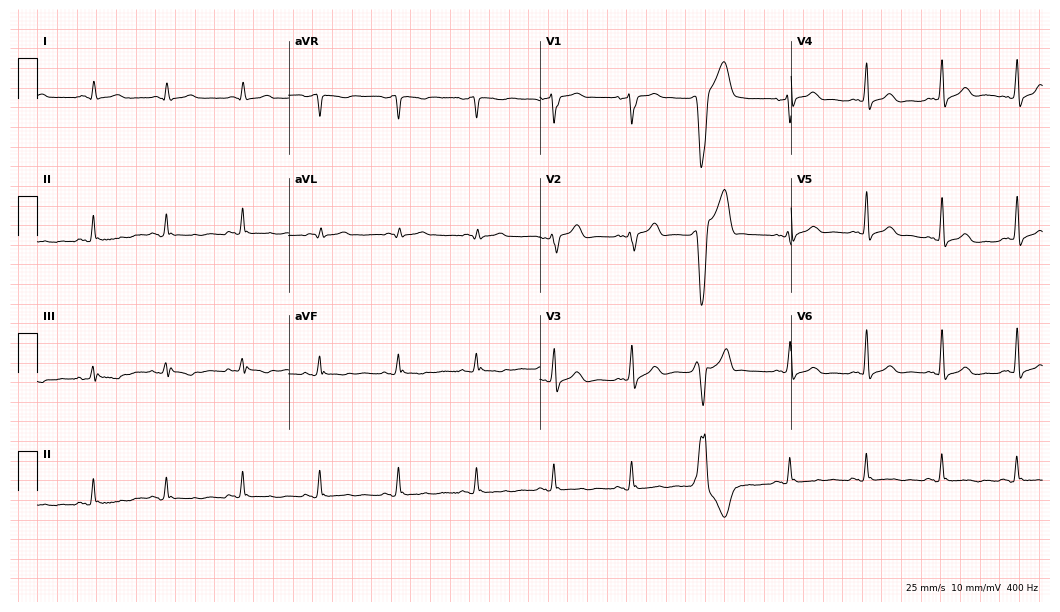
ECG — a 57-year-old male. Screened for six findings — first-degree AV block, right bundle branch block, left bundle branch block, sinus bradycardia, atrial fibrillation, sinus tachycardia — none is recorded.